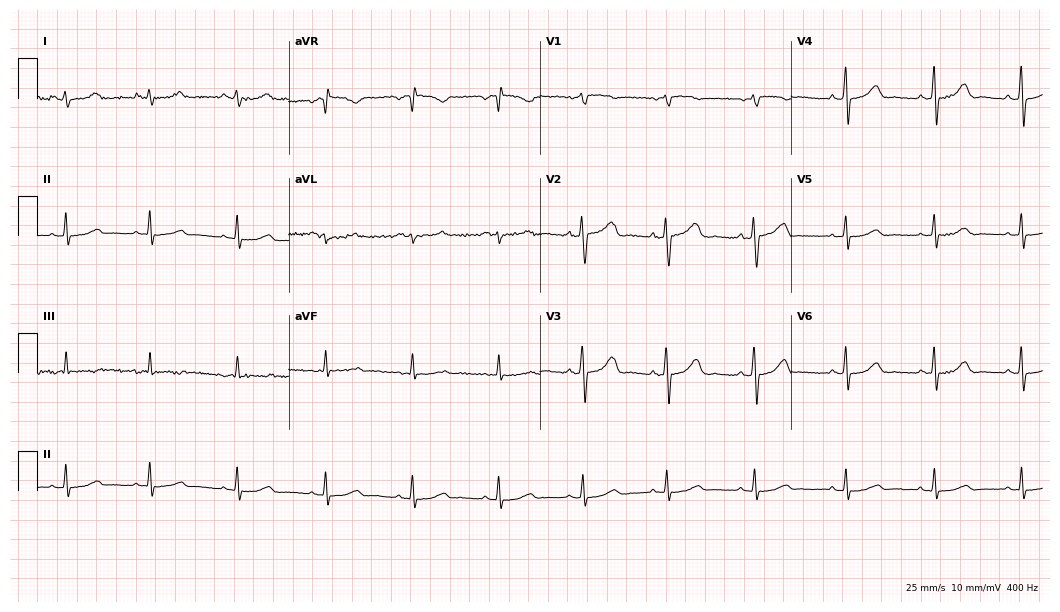
12-lead ECG from a female, 52 years old (10.2-second recording at 400 Hz). No first-degree AV block, right bundle branch block, left bundle branch block, sinus bradycardia, atrial fibrillation or sinus tachycardia recorded for this tracing.